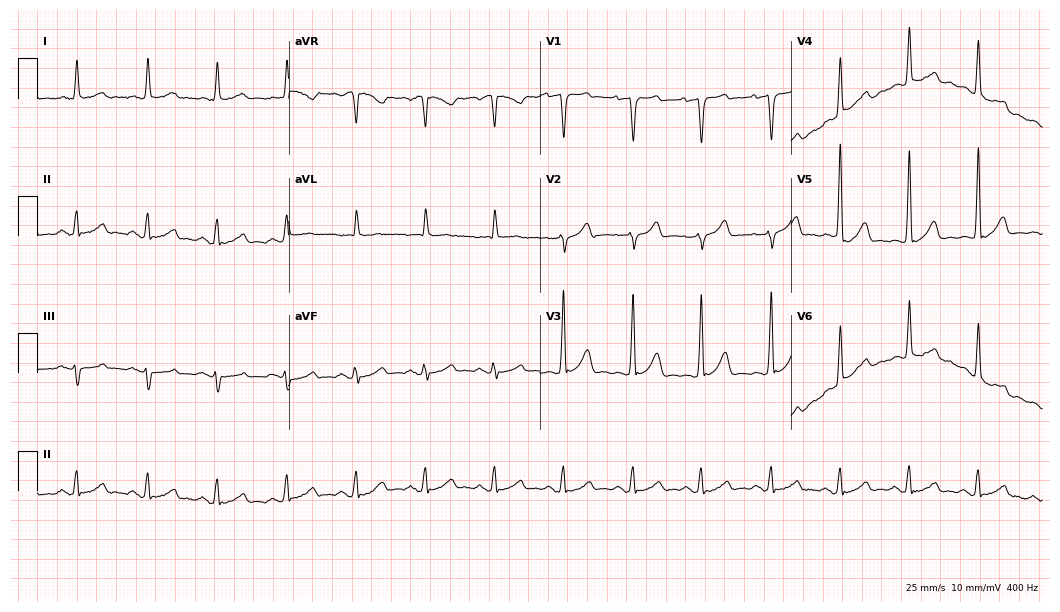
Standard 12-lead ECG recorded from a 63-year-old male (10.2-second recording at 400 Hz). Read as a normal ECG.